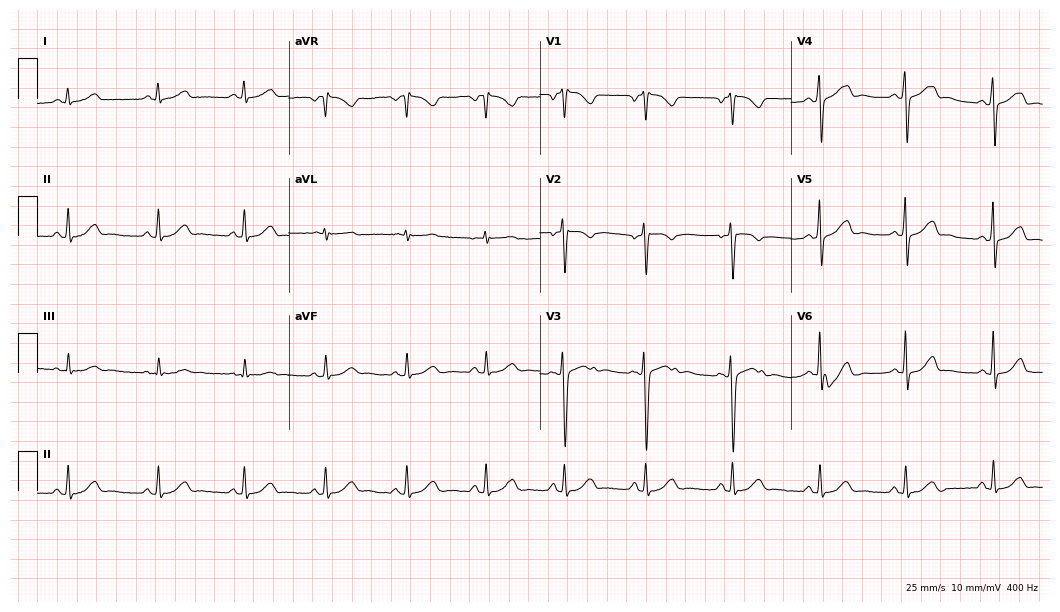
Standard 12-lead ECG recorded from a female, 42 years old. Read as a normal ECG.